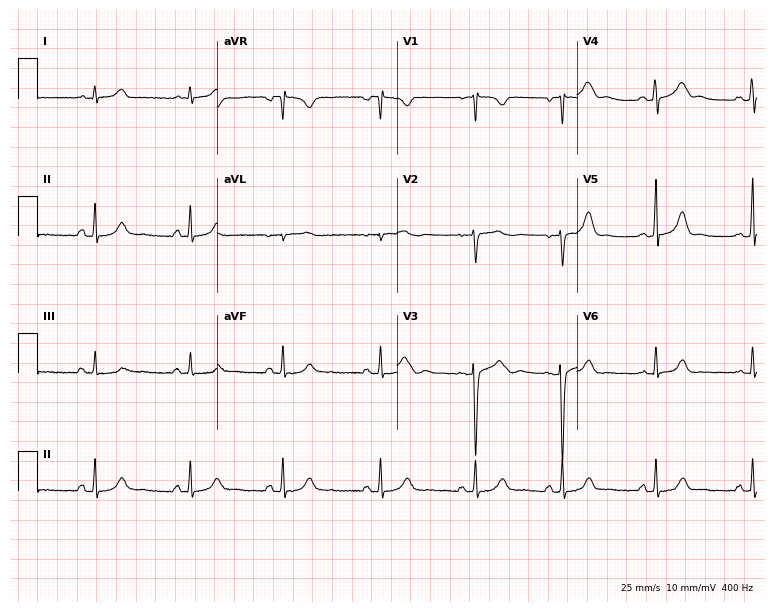
Resting 12-lead electrocardiogram. Patient: a 25-year-old female. None of these six findings is recorded: first-degree AV block, right bundle branch block, left bundle branch block, sinus bradycardia, atrial fibrillation, sinus tachycardia. Other findings, if any, are not listed.